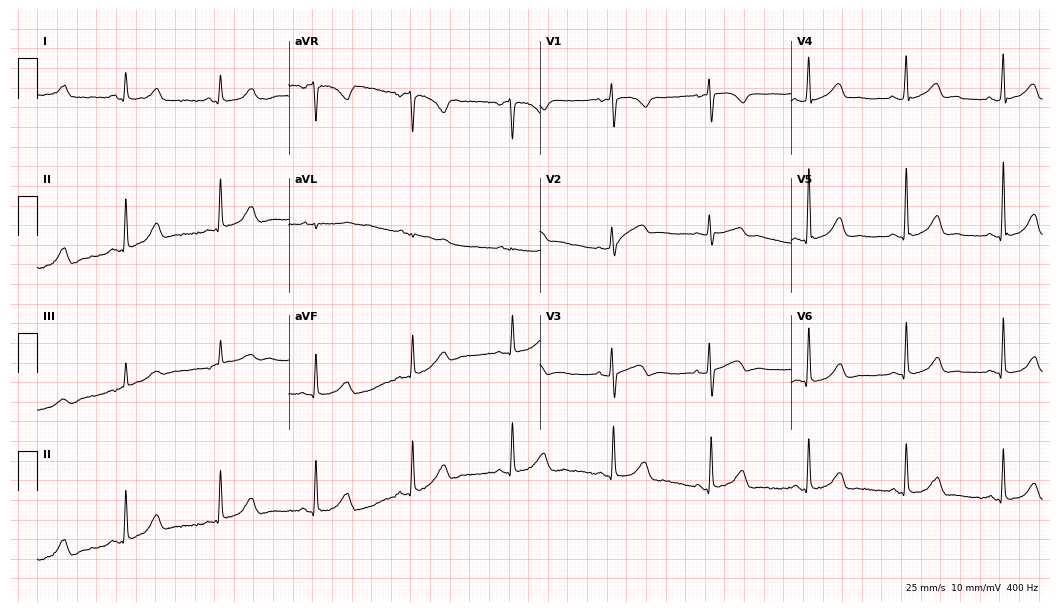
12-lead ECG from a woman, 69 years old (10.2-second recording at 400 Hz). Recorded interpretation: within normal limits.